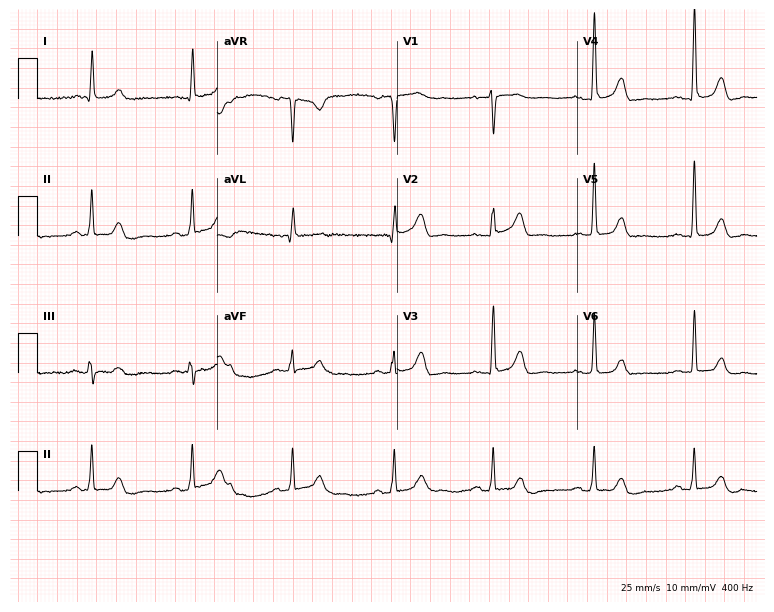
Resting 12-lead electrocardiogram (7.3-second recording at 400 Hz). Patient: a 78-year-old female. None of these six findings is recorded: first-degree AV block, right bundle branch block, left bundle branch block, sinus bradycardia, atrial fibrillation, sinus tachycardia. Only these six findings were labelled.